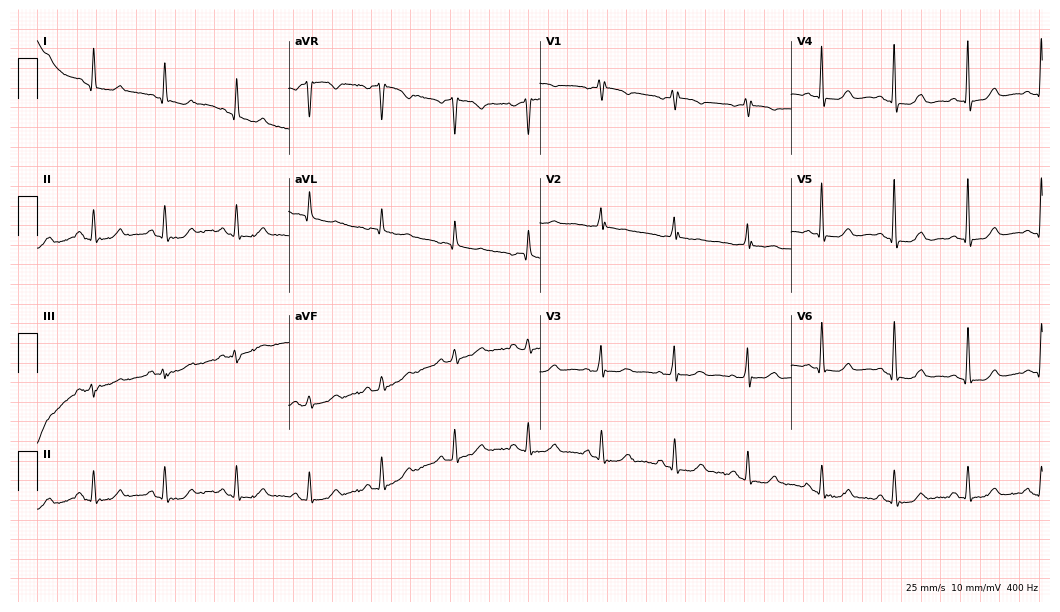
Standard 12-lead ECG recorded from a woman, 80 years old. Read as a normal ECG.